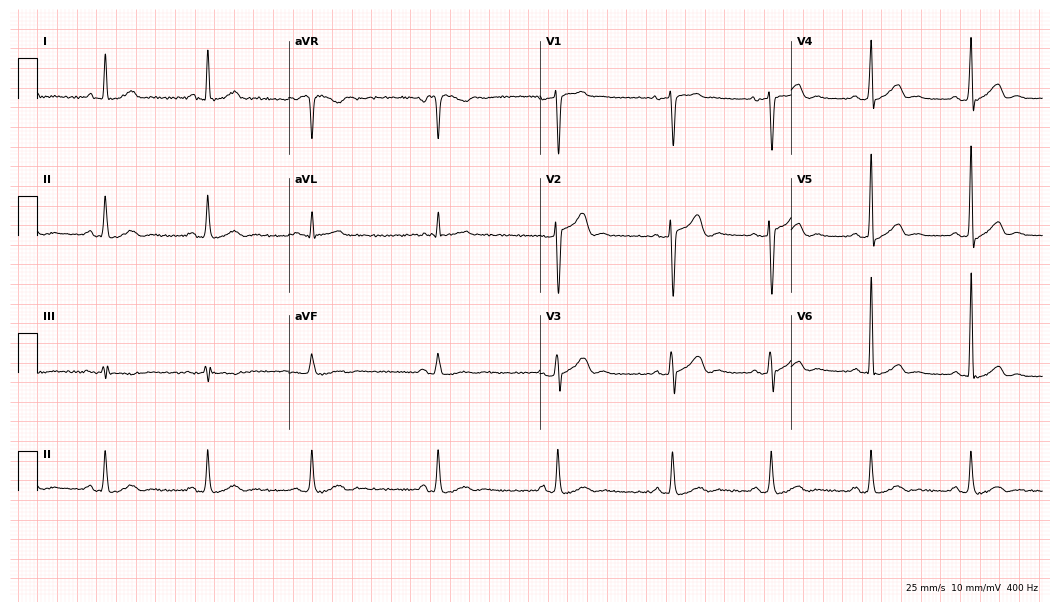
12-lead ECG from a man, 49 years old (10.2-second recording at 400 Hz). Recorded interpretation: within normal limits.